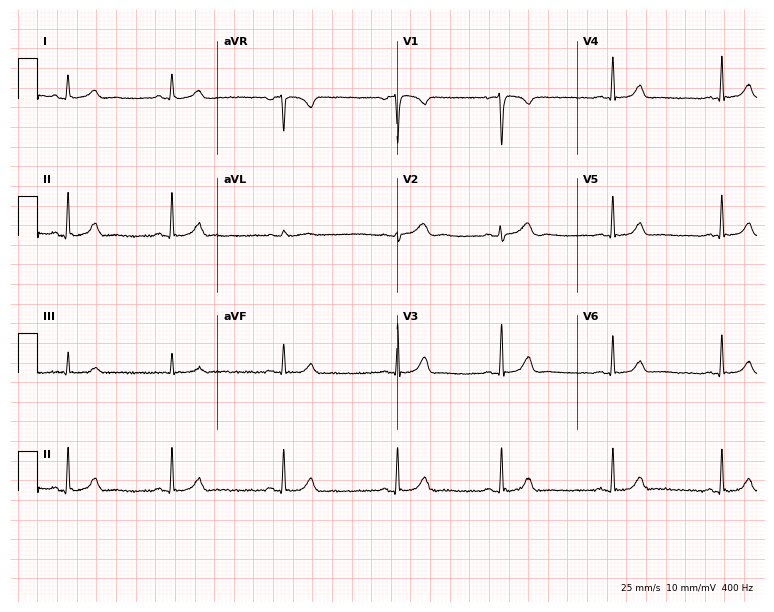
Standard 12-lead ECG recorded from a female, 27 years old (7.3-second recording at 400 Hz). Read as a normal ECG.